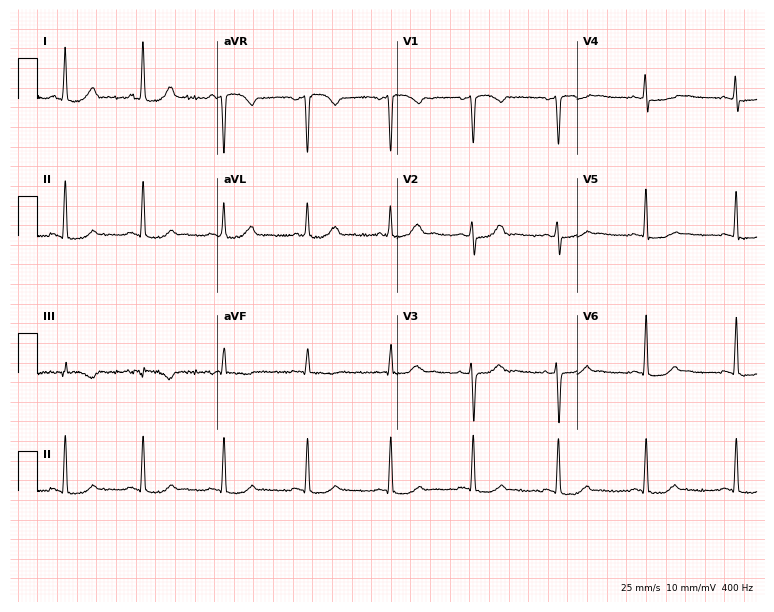
Electrocardiogram (7.3-second recording at 400 Hz), a 35-year-old female patient. Of the six screened findings (first-degree AV block, right bundle branch block (RBBB), left bundle branch block (LBBB), sinus bradycardia, atrial fibrillation (AF), sinus tachycardia), none is recorded. Only these six findings were labelled.